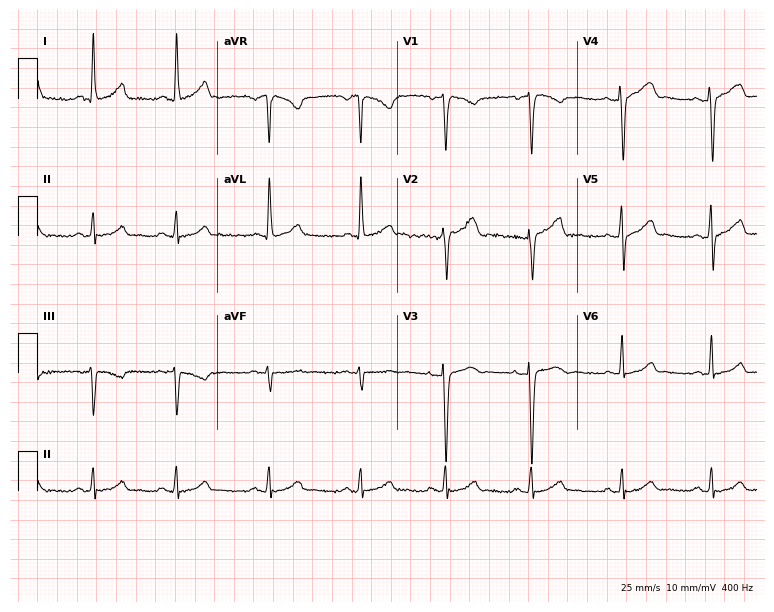
ECG — a 42-year-old female patient. Labelled as a normal ECG.